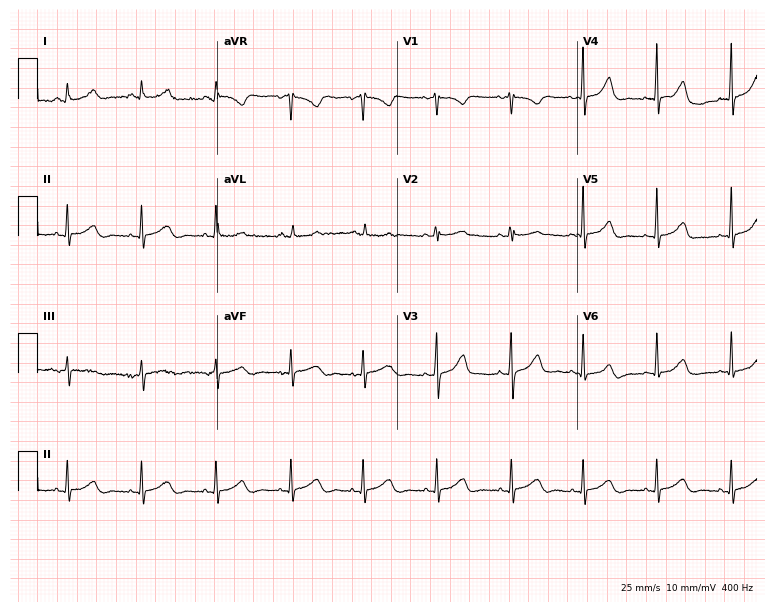
Resting 12-lead electrocardiogram. Patient: a 46-year-old female. Read as a normal ECG.